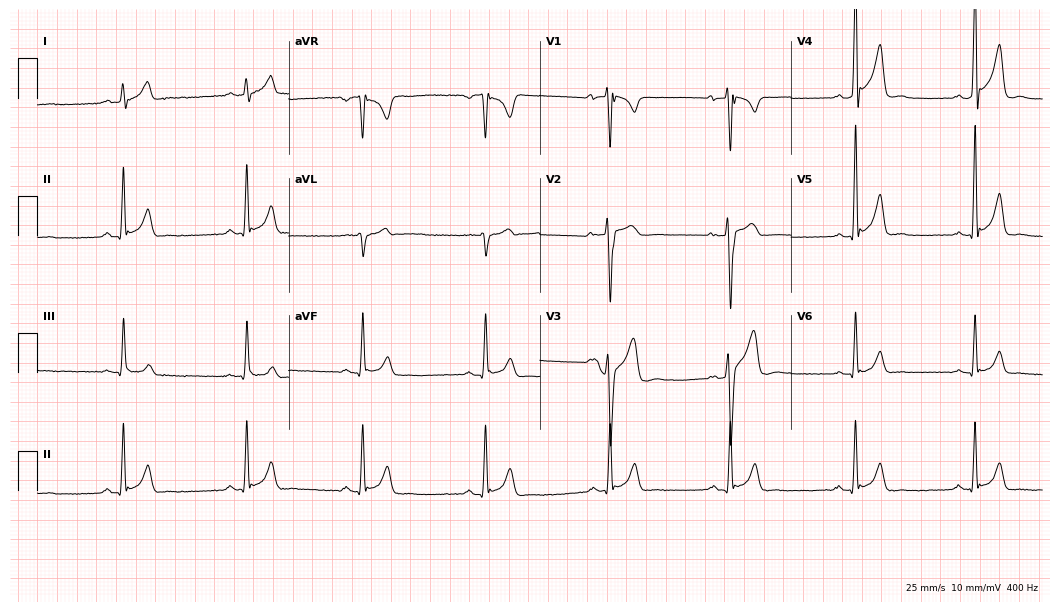
Standard 12-lead ECG recorded from a male patient, 33 years old. None of these six findings is recorded: first-degree AV block, right bundle branch block (RBBB), left bundle branch block (LBBB), sinus bradycardia, atrial fibrillation (AF), sinus tachycardia.